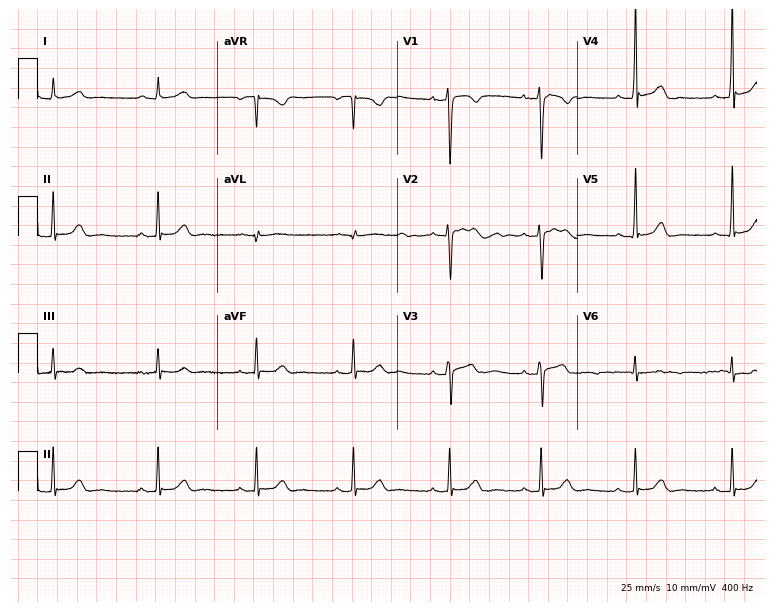
Resting 12-lead electrocardiogram (7.3-second recording at 400 Hz). Patient: a male, 31 years old. Read as a normal ECG.